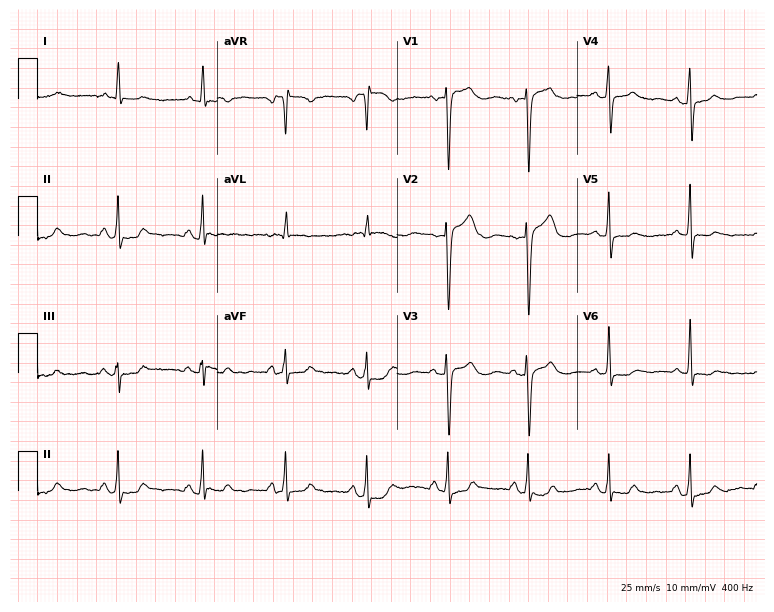
12-lead ECG (7.3-second recording at 400 Hz) from a 66-year-old female. Labelled as a normal ECG.